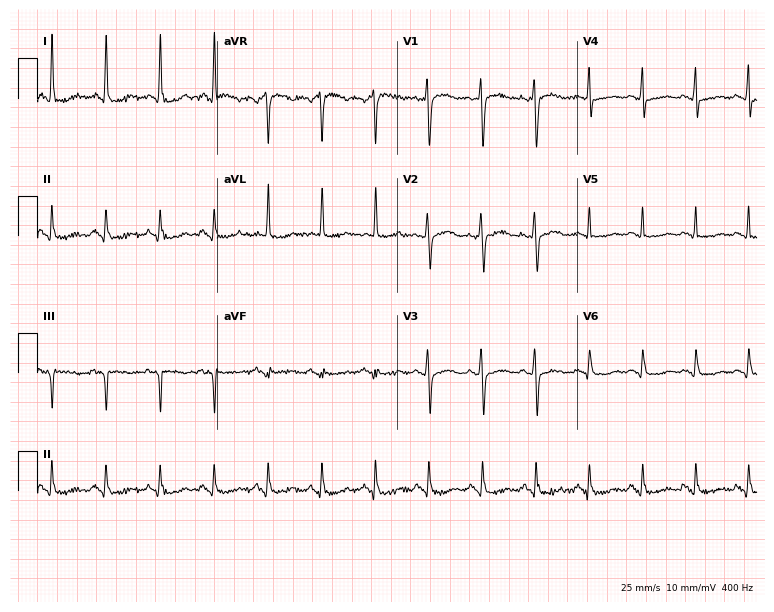
Resting 12-lead electrocardiogram (7.3-second recording at 400 Hz). Patient: a female, 55 years old. The tracing shows sinus tachycardia (a sinus rate of 100 beats per minute or more).